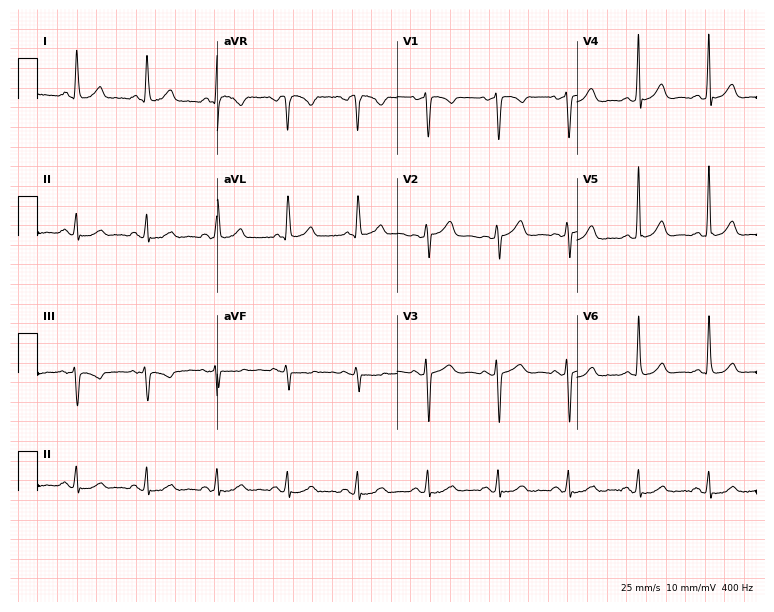
Resting 12-lead electrocardiogram (7.3-second recording at 400 Hz). Patient: a 59-year-old female. None of these six findings is recorded: first-degree AV block, right bundle branch block (RBBB), left bundle branch block (LBBB), sinus bradycardia, atrial fibrillation (AF), sinus tachycardia. Findings outside these six are not listed.